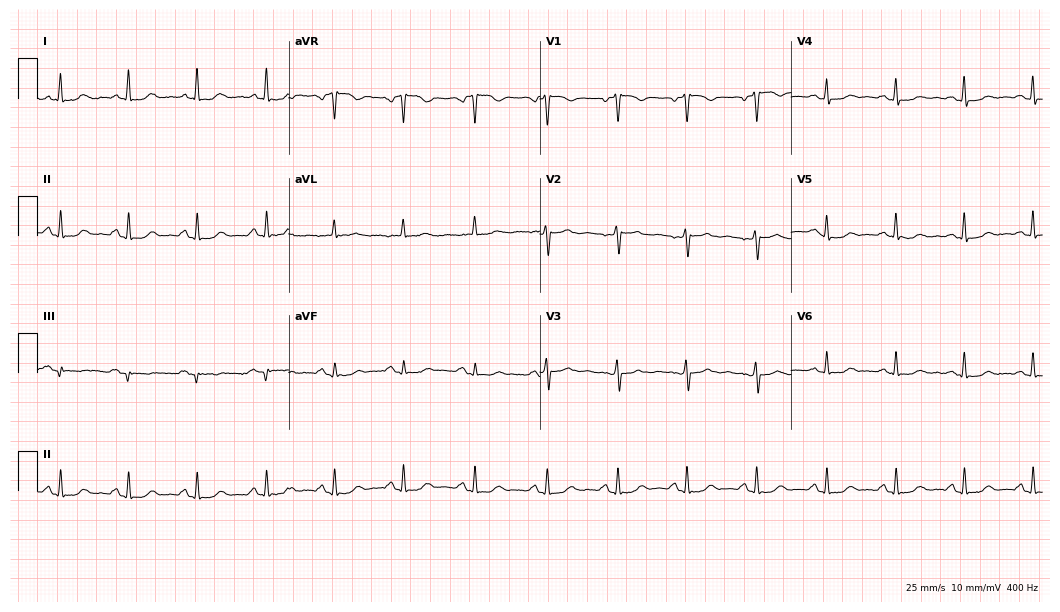
Standard 12-lead ECG recorded from a female, 53 years old (10.2-second recording at 400 Hz). Read as a normal ECG.